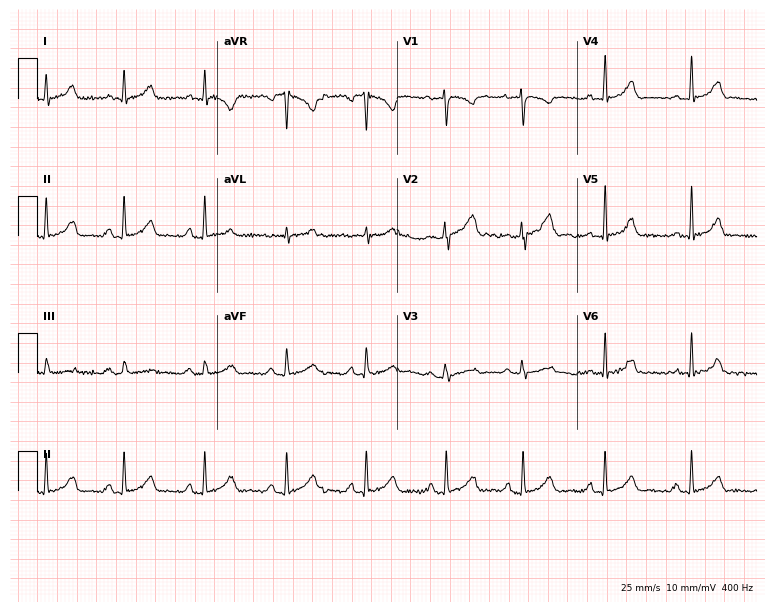
12-lead ECG (7.3-second recording at 400 Hz) from a 19-year-old woman. Screened for six findings — first-degree AV block, right bundle branch block, left bundle branch block, sinus bradycardia, atrial fibrillation, sinus tachycardia — none is recorded.